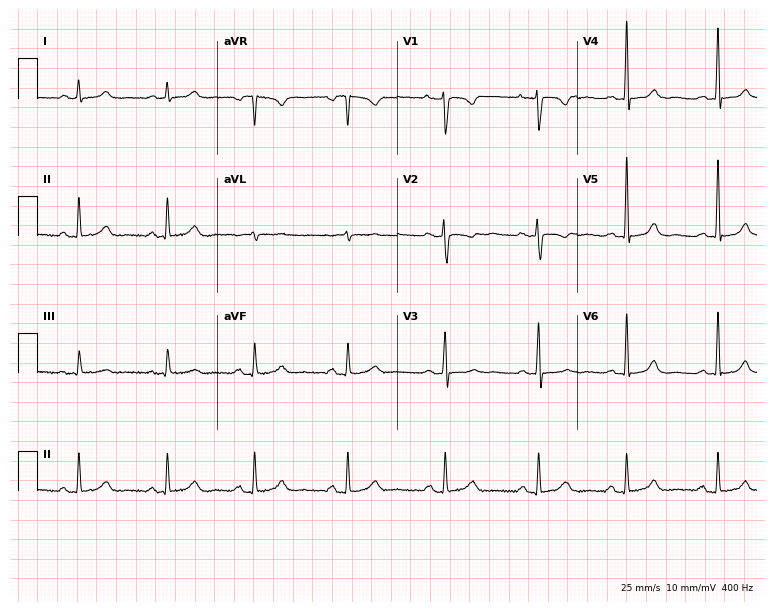
Standard 12-lead ECG recorded from a 37-year-old woman (7.3-second recording at 400 Hz). Read as a normal ECG.